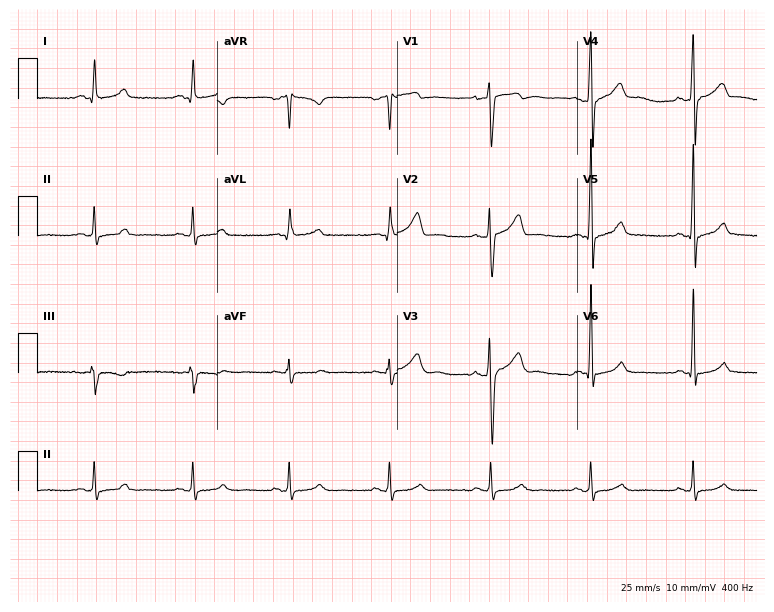
Electrocardiogram, a 32-year-old man. Overall reading on record: normal ECG.